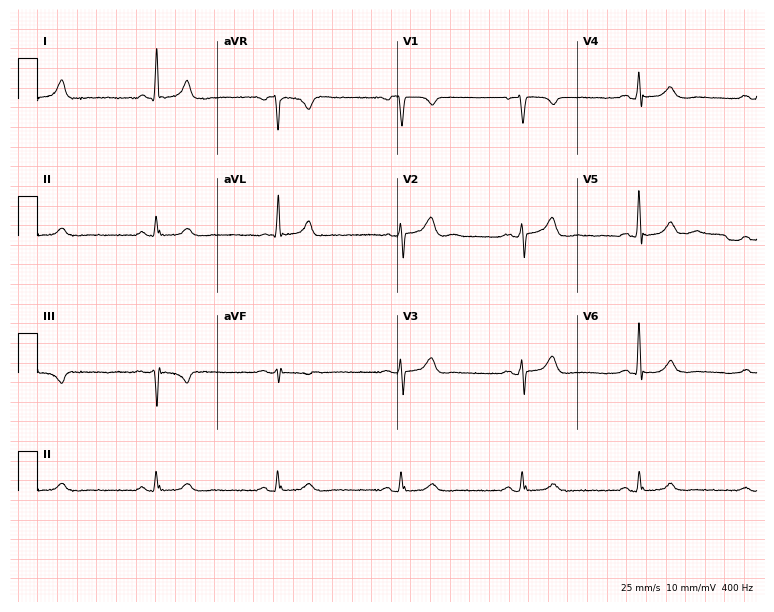
Standard 12-lead ECG recorded from a male patient, 83 years old. The tracing shows sinus bradycardia (a sinus rate of 50 beats per minute or less).